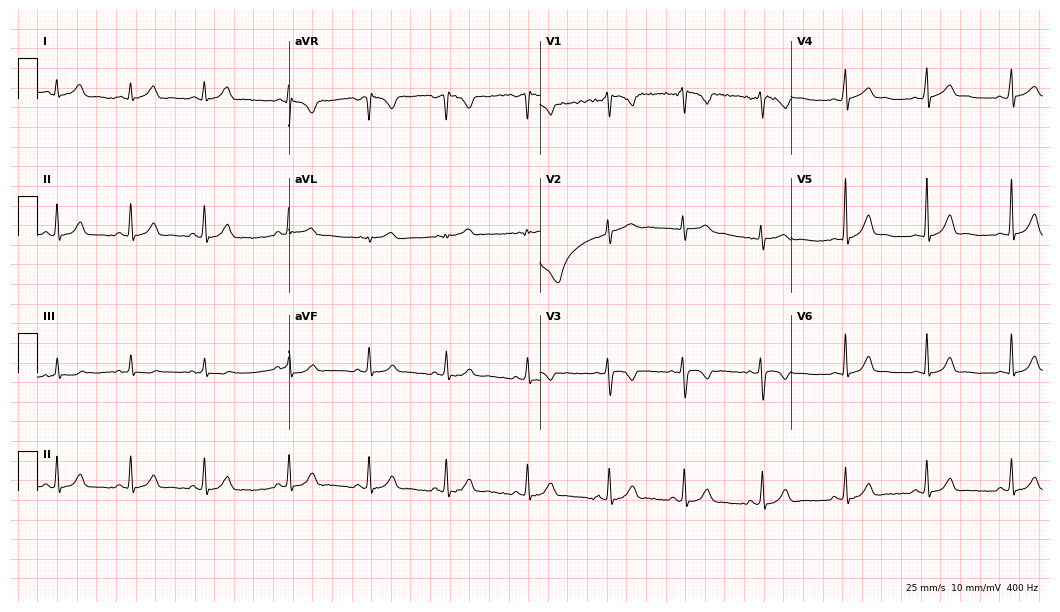
12-lead ECG from a female, 21 years old. Labelled as a normal ECG.